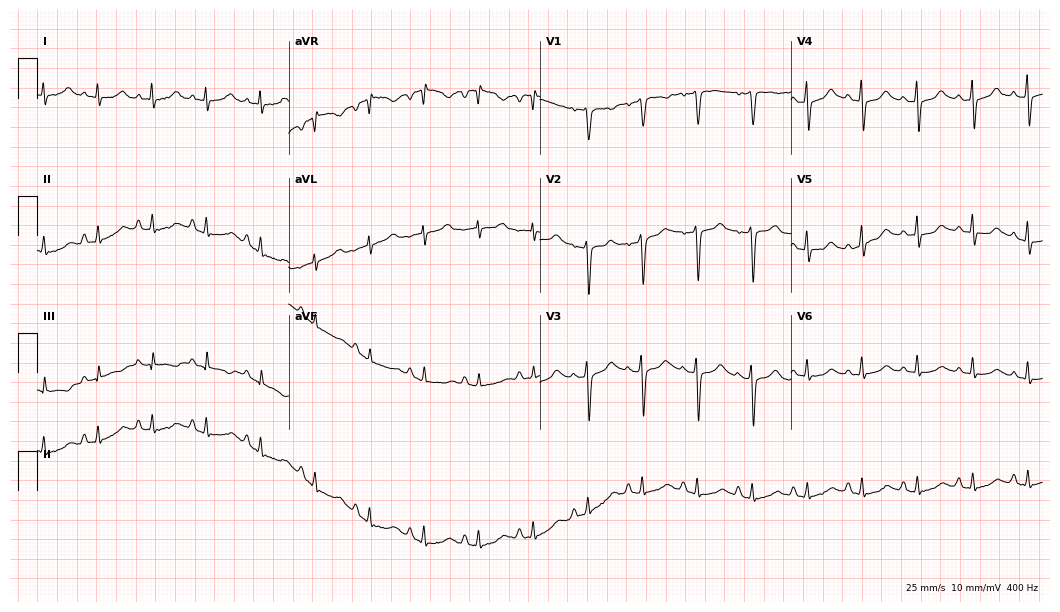
Electrocardiogram (10.2-second recording at 400 Hz), a female patient, 41 years old. Interpretation includes sinus tachycardia (a sinus rate of 100 beats per minute or more).